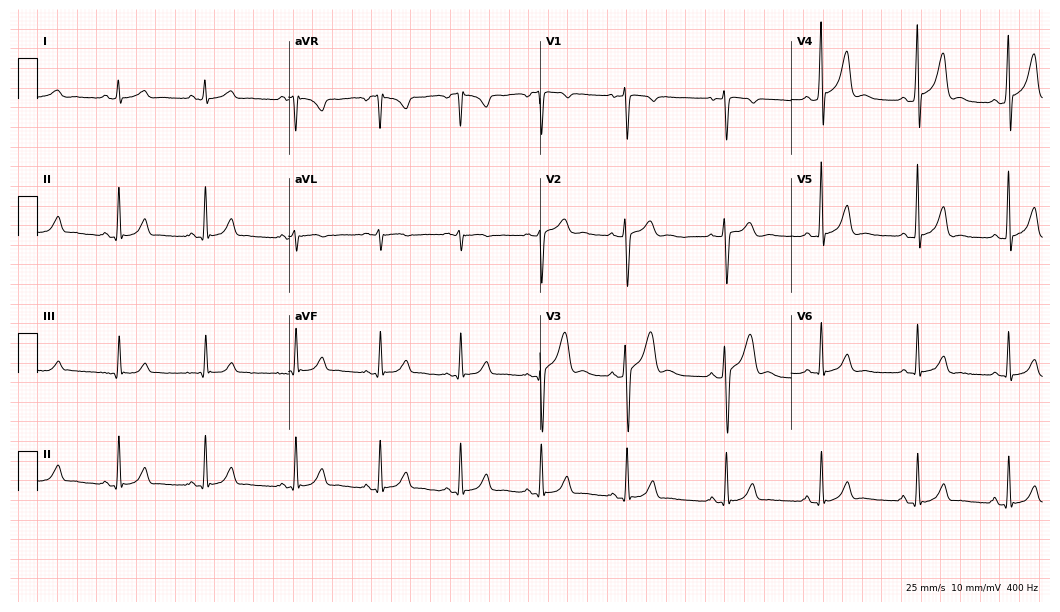
Resting 12-lead electrocardiogram. Patient: a male, 32 years old. None of these six findings is recorded: first-degree AV block, right bundle branch block, left bundle branch block, sinus bradycardia, atrial fibrillation, sinus tachycardia. Findings outside these six are not listed.